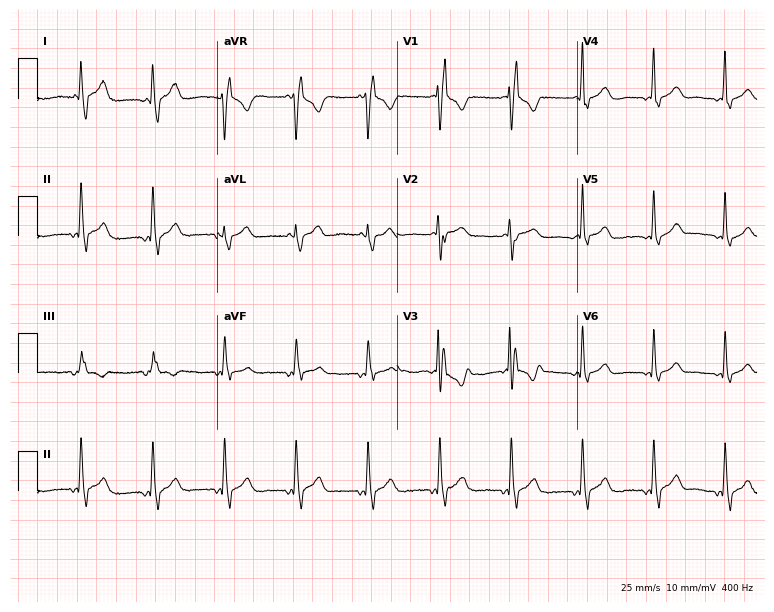
Electrocardiogram, a 28-year-old woman. Interpretation includes right bundle branch block.